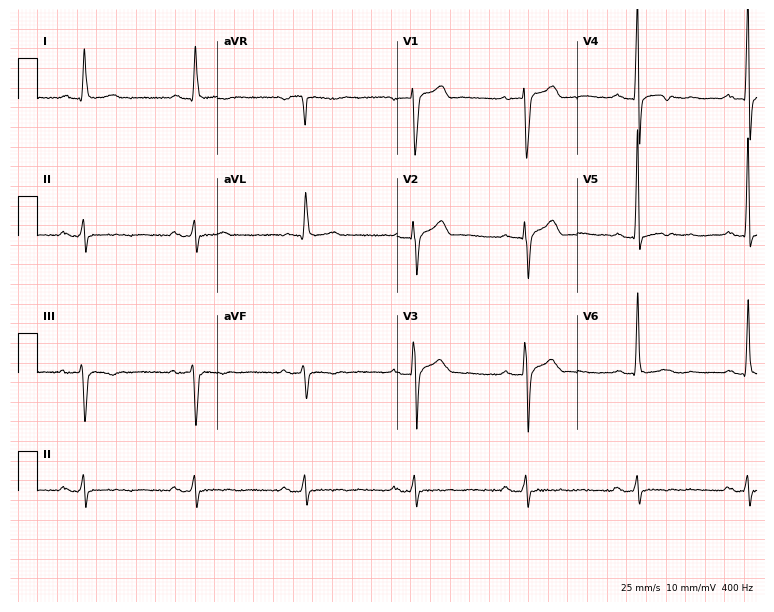
12-lead ECG (7.3-second recording at 400 Hz) from a 65-year-old male patient. Screened for six findings — first-degree AV block, right bundle branch block, left bundle branch block, sinus bradycardia, atrial fibrillation, sinus tachycardia — none is recorded. Other findings, if any, are not listed.